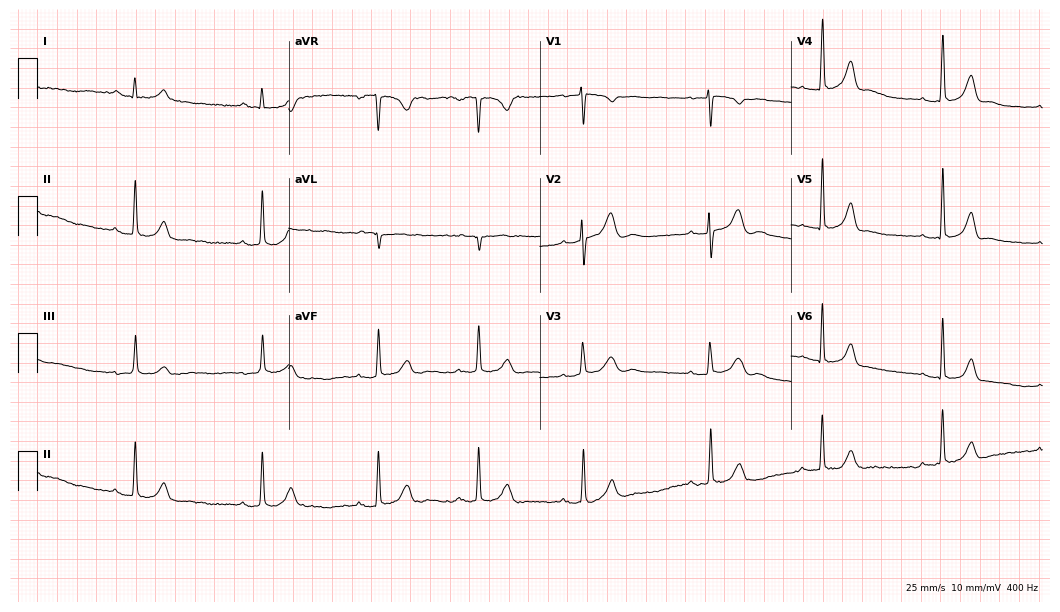
Standard 12-lead ECG recorded from a 19-year-old female (10.2-second recording at 400 Hz). None of these six findings is recorded: first-degree AV block, right bundle branch block, left bundle branch block, sinus bradycardia, atrial fibrillation, sinus tachycardia.